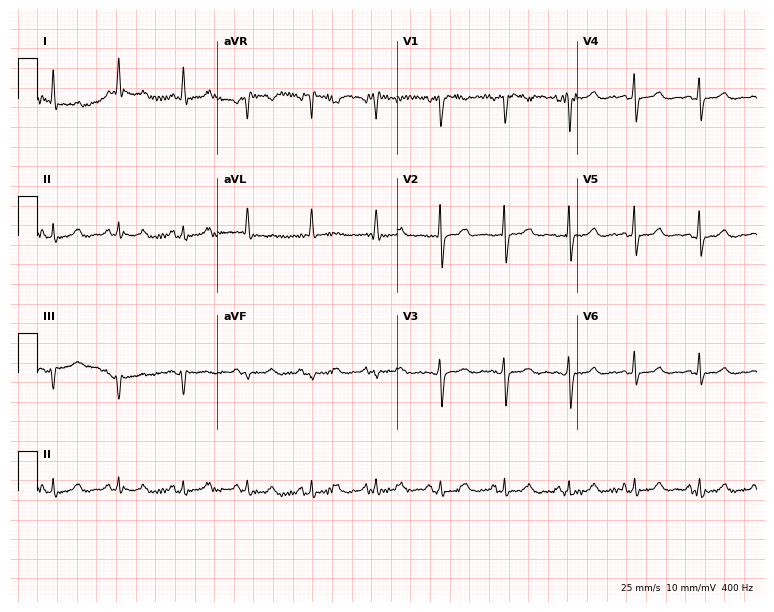
Resting 12-lead electrocardiogram. Patient: a female, 67 years old. None of these six findings is recorded: first-degree AV block, right bundle branch block, left bundle branch block, sinus bradycardia, atrial fibrillation, sinus tachycardia. Other findings, if any, are not listed.